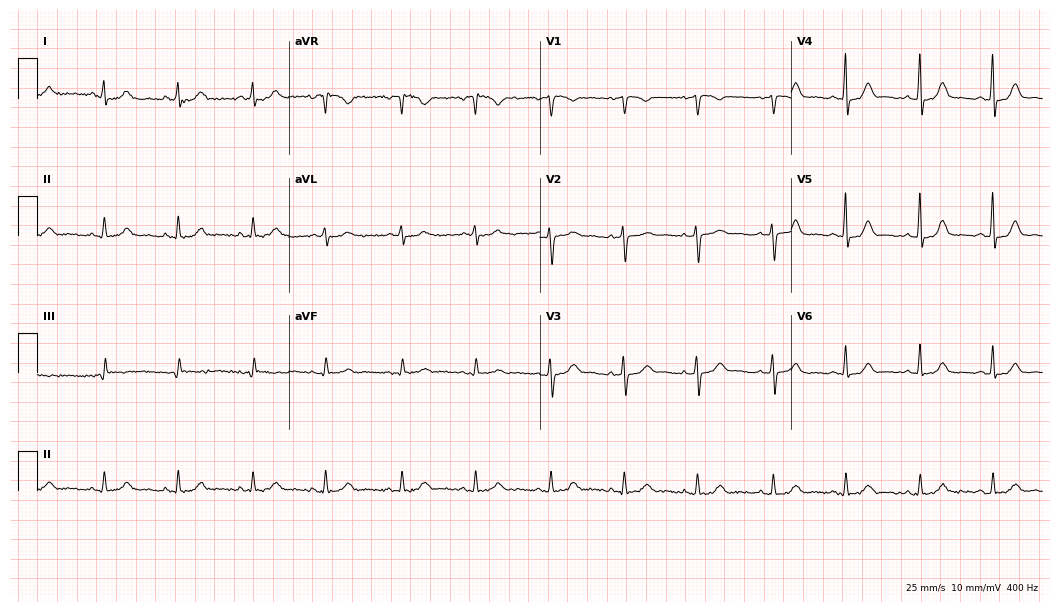
12-lead ECG from a 47-year-old female patient (10.2-second recording at 400 Hz). Recorded interpretation: within normal limits.